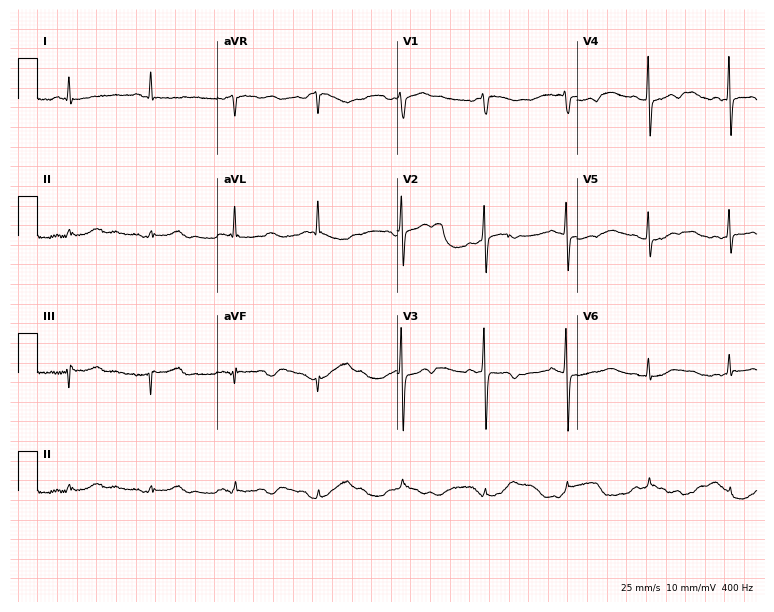
Electrocardiogram, a woman, 66 years old. Of the six screened findings (first-degree AV block, right bundle branch block (RBBB), left bundle branch block (LBBB), sinus bradycardia, atrial fibrillation (AF), sinus tachycardia), none is recorded.